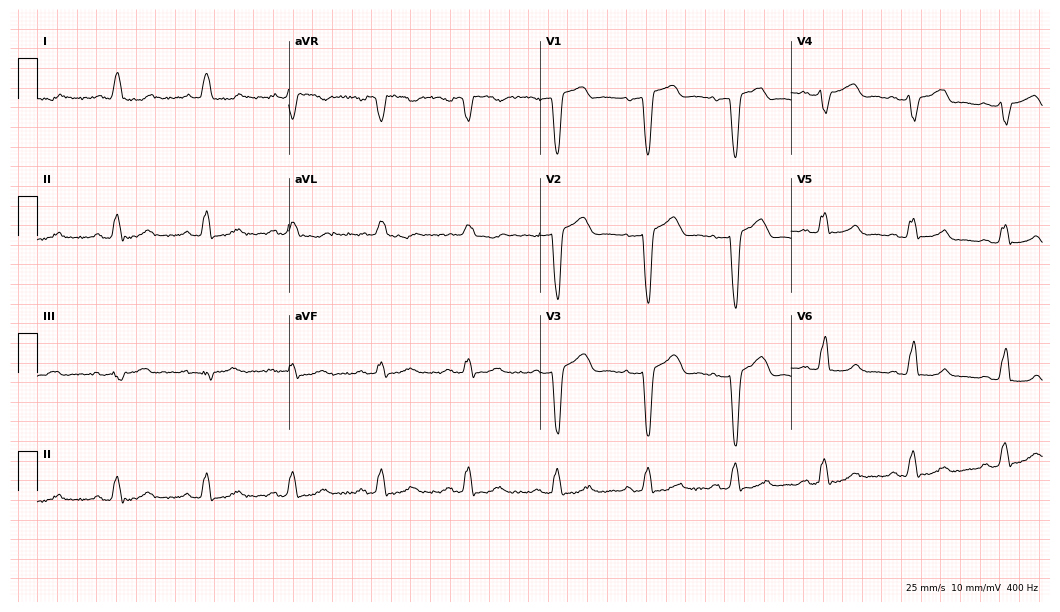
Standard 12-lead ECG recorded from a woman, 81 years old. None of these six findings is recorded: first-degree AV block, right bundle branch block (RBBB), left bundle branch block (LBBB), sinus bradycardia, atrial fibrillation (AF), sinus tachycardia.